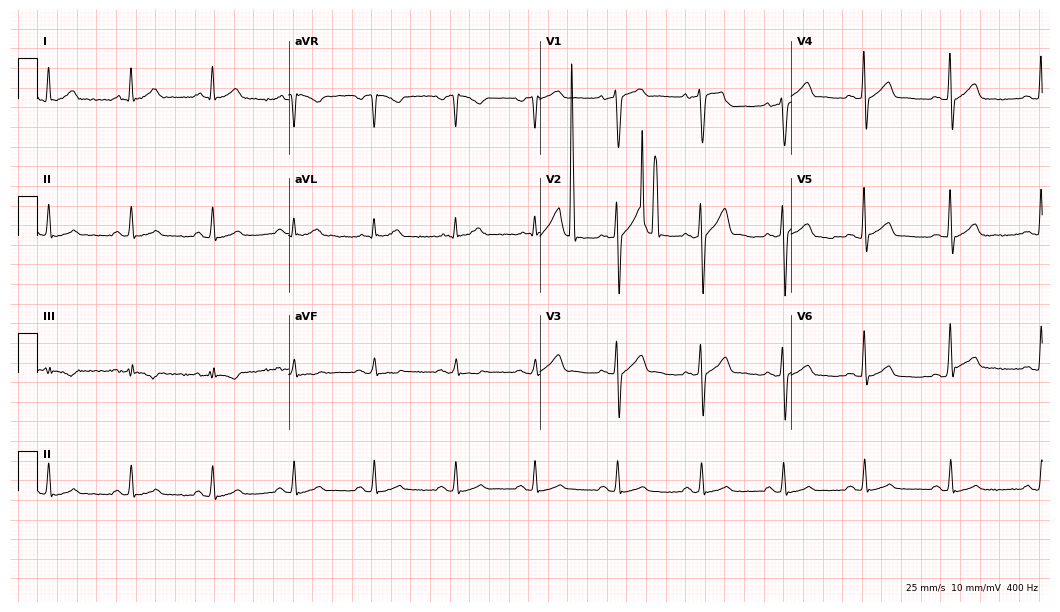
12-lead ECG from a 58-year-old male (10.2-second recording at 400 Hz). Recorded interpretation: within normal limits.